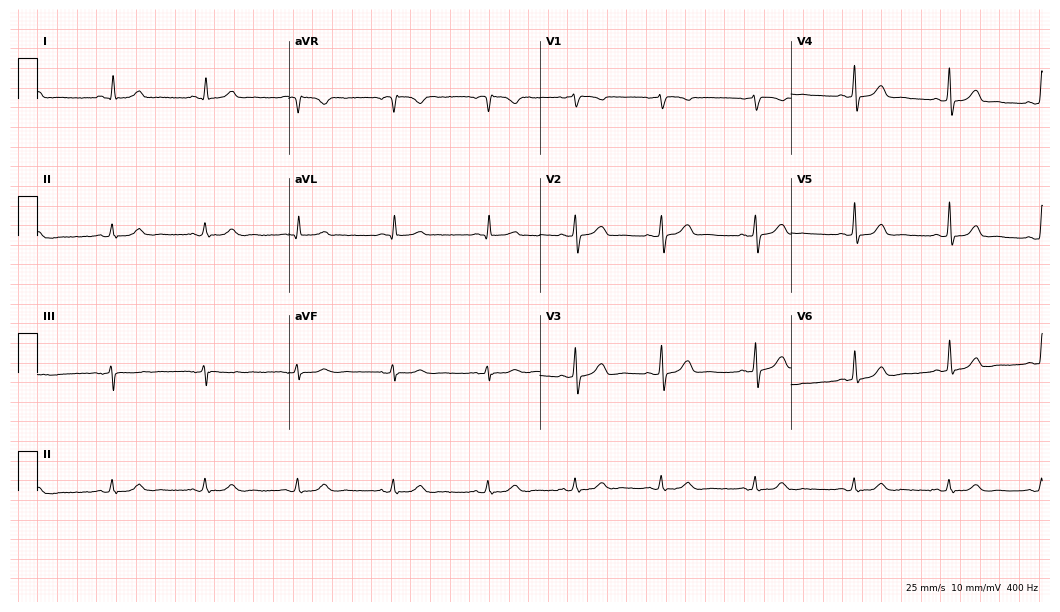
12-lead ECG from a female patient, 49 years old. Labelled as a normal ECG.